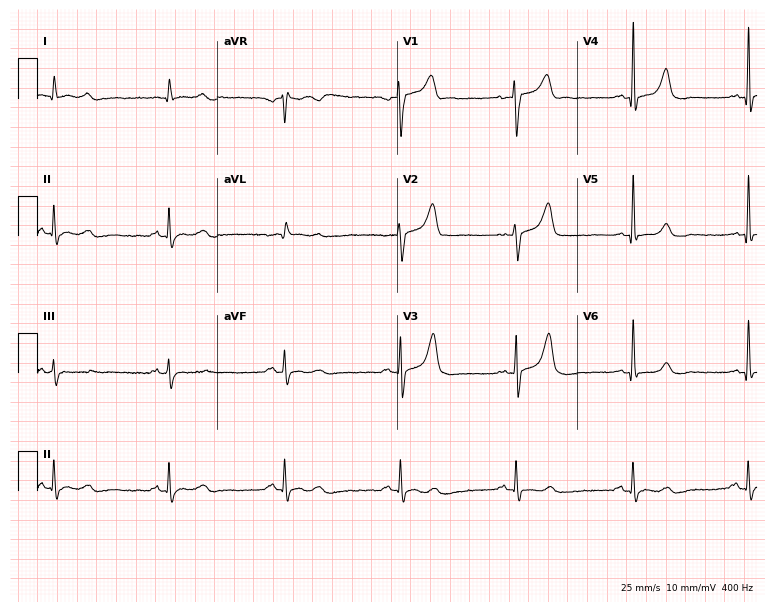
12-lead ECG from a male, 75 years old. No first-degree AV block, right bundle branch block, left bundle branch block, sinus bradycardia, atrial fibrillation or sinus tachycardia recorded for this tracing.